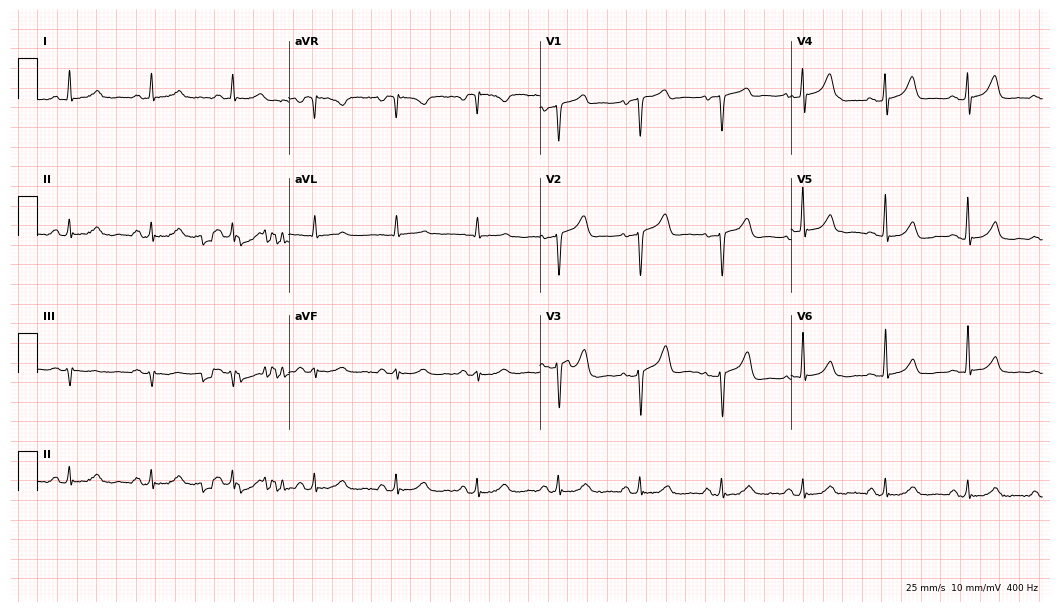
12-lead ECG from a male patient, 56 years old (10.2-second recording at 400 Hz). No first-degree AV block, right bundle branch block, left bundle branch block, sinus bradycardia, atrial fibrillation or sinus tachycardia recorded for this tracing.